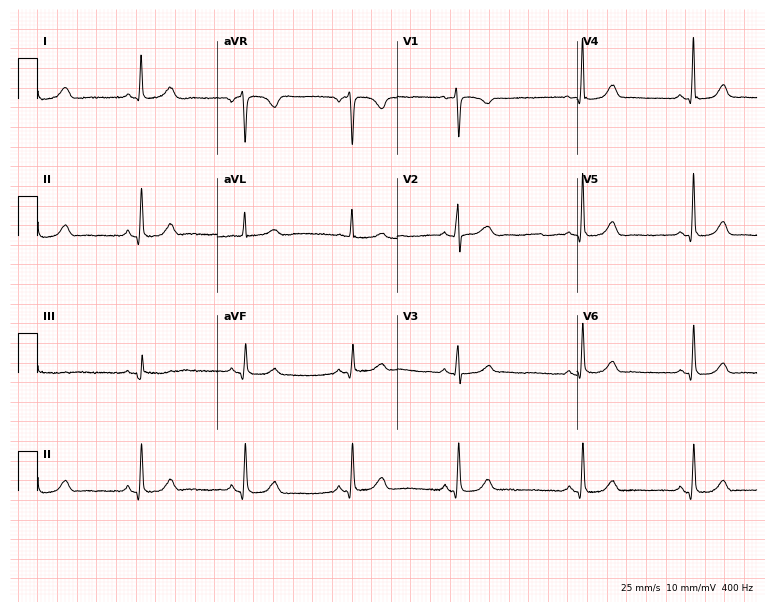
Electrocardiogram, a 68-year-old woman. Overall reading on record: normal ECG.